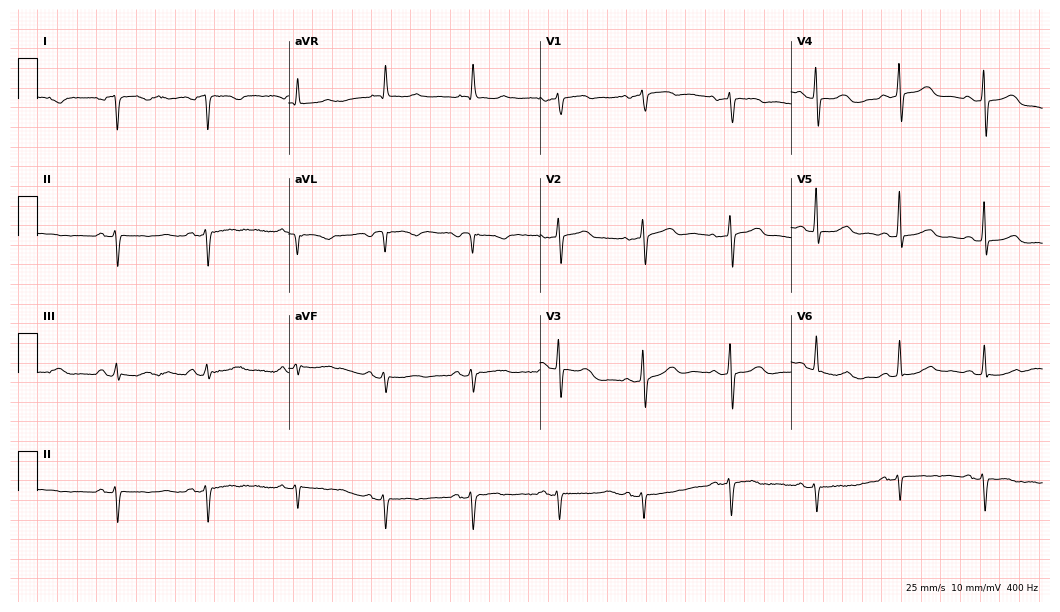
Resting 12-lead electrocardiogram (10.2-second recording at 400 Hz). Patient: a female, 83 years old. None of these six findings is recorded: first-degree AV block, right bundle branch block, left bundle branch block, sinus bradycardia, atrial fibrillation, sinus tachycardia.